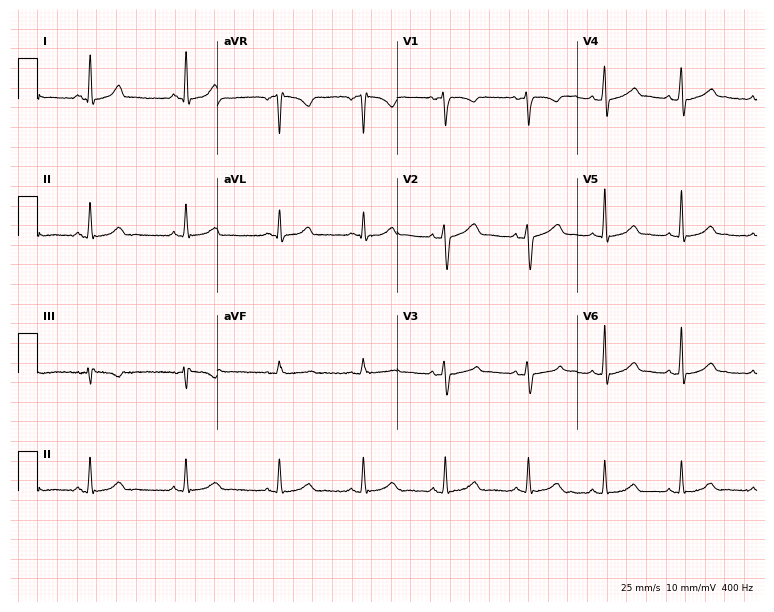
Resting 12-lead electrocardiogram. Patient: a female, 35 years old. Read as a normal ECG.